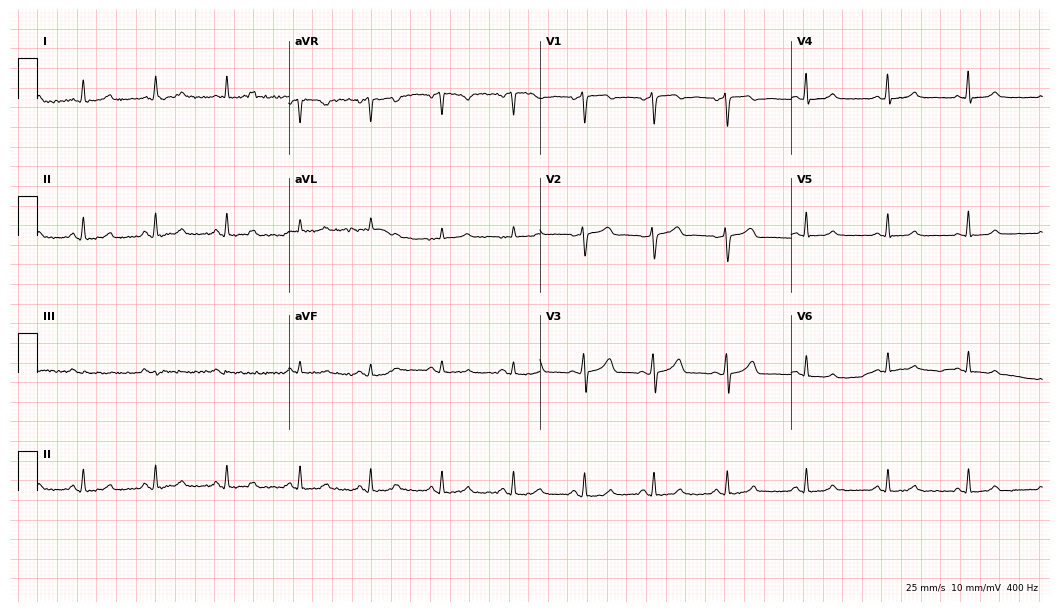
12-lead ECG from a 42-year-old female patient (10.2-second recording at 400 Hz). No first-degree AV block, right bundle branch block, left bundle branch block, sinus bradycardia, atrial fibrillation or sinus tachycardia recorded for this tracing. Findings outside these six are not listed.